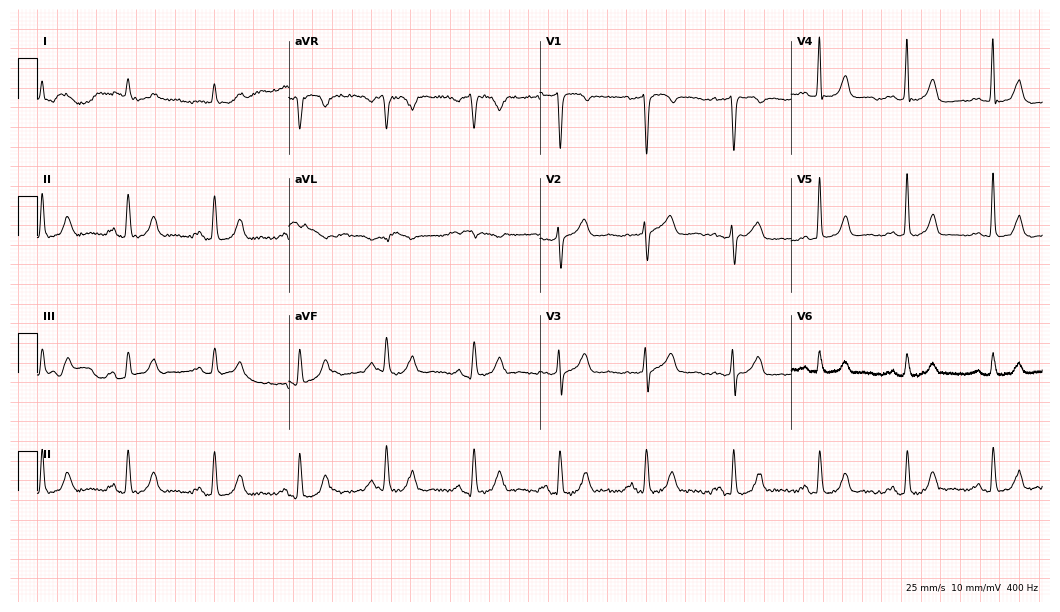
Electrocardiogram (10.2-second recording at 400 Hz), a male patient, 80 years old. Overall reading on record: normal ECG.